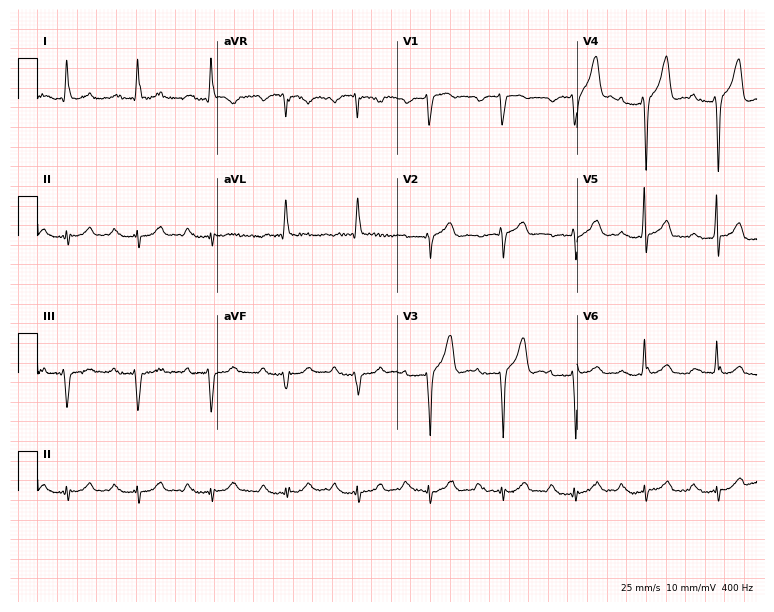
12-lead ECG from a male patient, 67 years old (7.3-second recording at 400 Hz). Shows first-degree AV block.